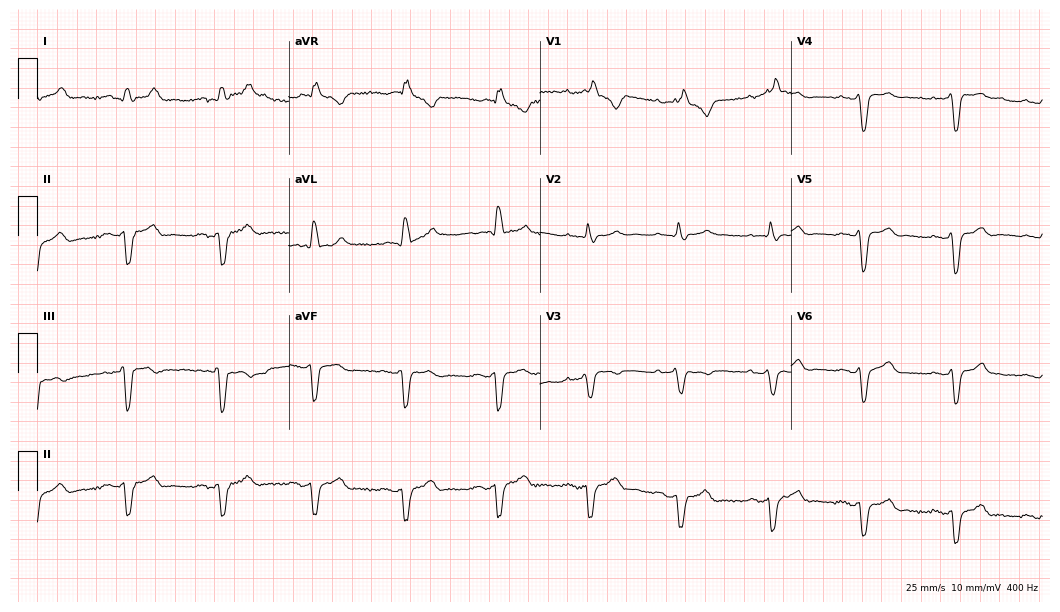
12-lead ECG from a male, 67 years old. Shows right bundle branch block.